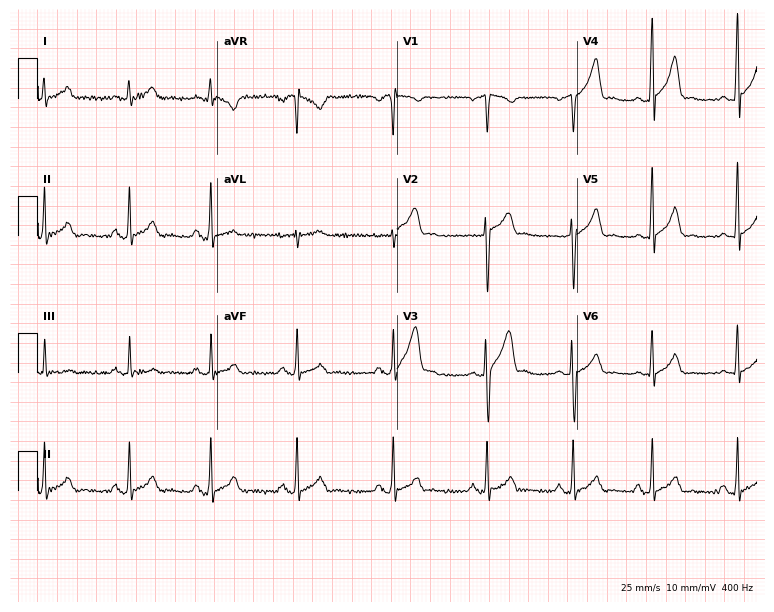
Resting 12-lead electrocardiogram (7.3-second recording at 400 Hz). Patient: a male, 23 years old. None of these six findings is recorded: first-degree AV block, right bundle branch block, left bundle branch block, sinus bradycardia, atrial fibrillation, sinus tachycardia.